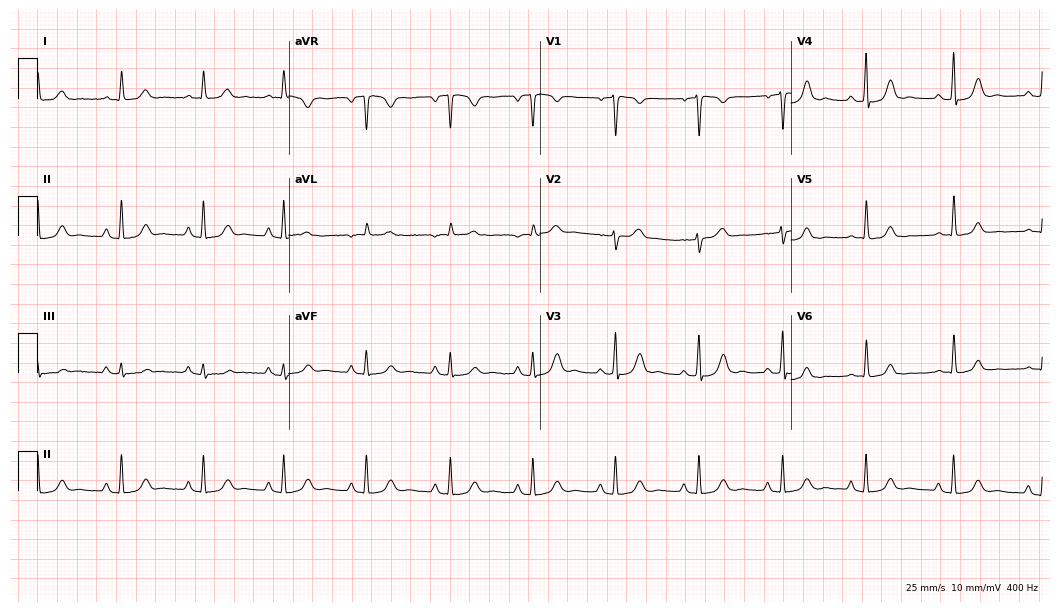
12-lead ECG from a 47-year-old female. Screened for six findings — first-degree AV block, right bundle branch block, left bundle branch block, sinus bradycardia, atrial fibrillation, sinus tachycardia — none is recorded.